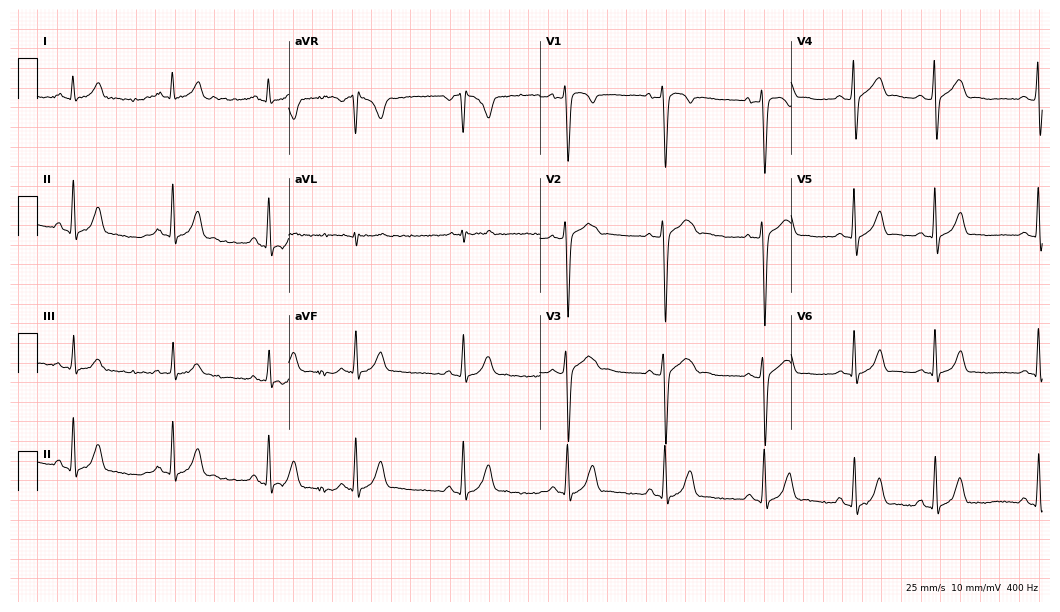
Electrocardiogram (10.2-second recording at 400 Hz), a 17-year-old man. Overall reading on record: normal ECG.